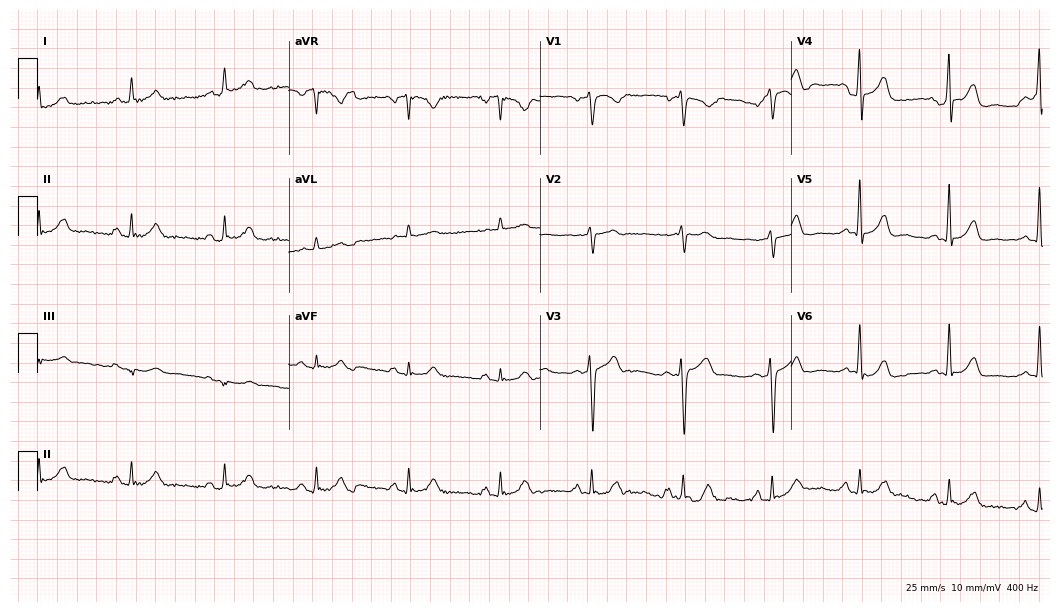
Standard 12-lead ECG recorded from a male, 57 years old (10.2-second recording at 400 Hz). Read as a normal ECG.